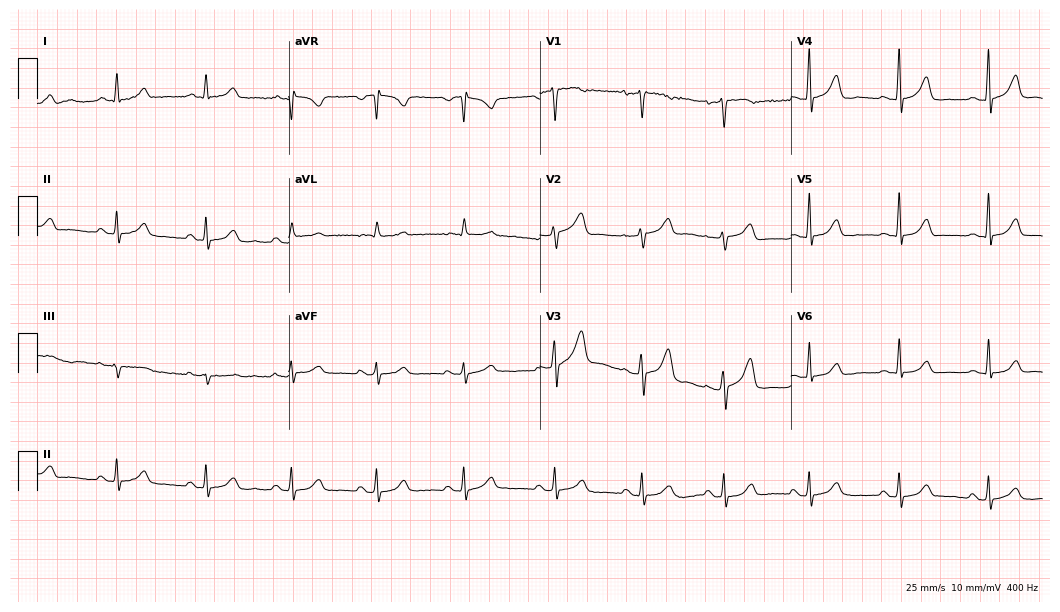
Resting 12-lead electrocardiogram. Patient: a 45-year-old female. Read as a normal ECG.